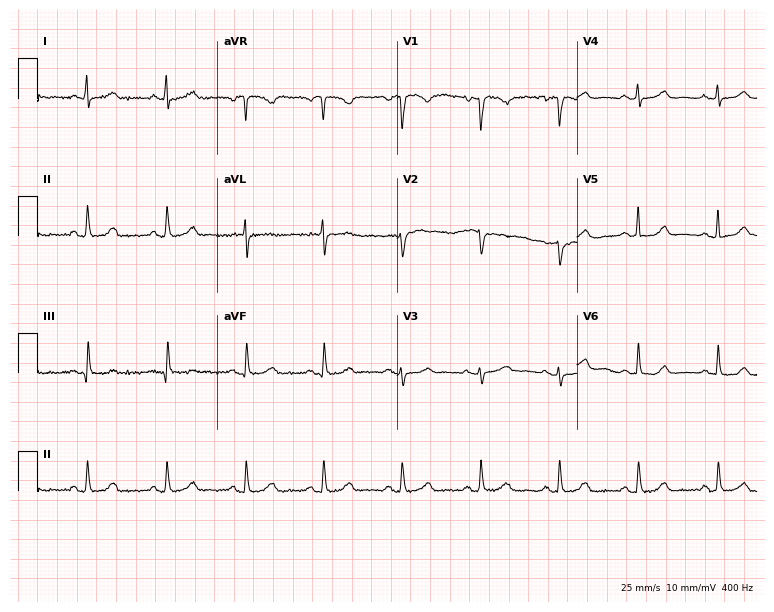
Electrocardiogram, a 62-year-old female patient. Overall reading on record: normal ECG.